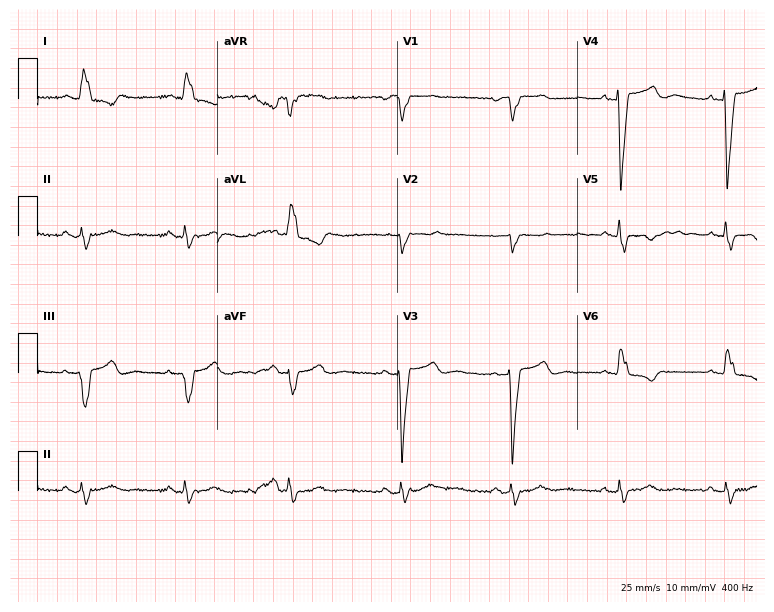
Resting 12-lead electrocardiogram (7.3-second recording at 400 Hz). Patient: an 82-year-old female. The tracing shows left bundle branch block.